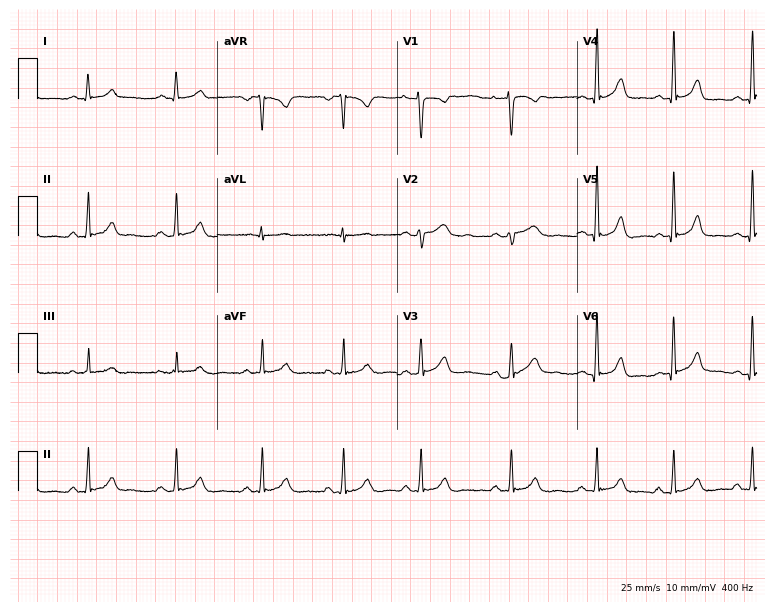
Resting 12-lead electrocardiogram (7.3-second recording at 400 Hz). Patient: a 19-year-old female. Read as a normal ECG.